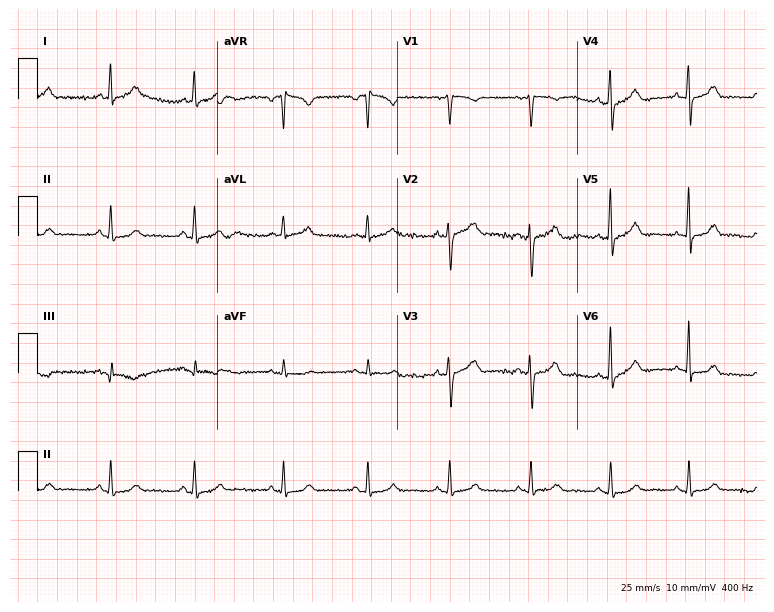
Electrocardiogram (7.3-second recording at 400 Hz), a female, 55 years old. Overall reading on record: normal ECG.